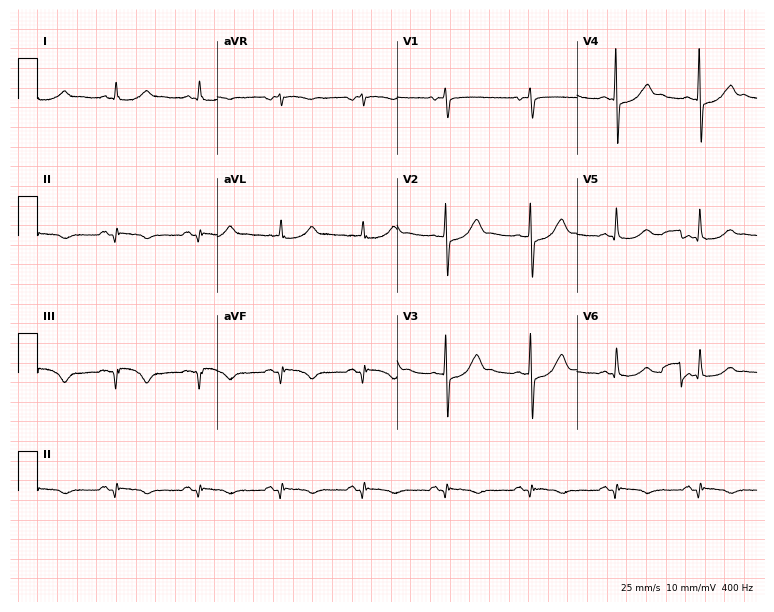
Standard 12-lead ECG recorded from a 58-year-old woman. None of these six findings is recorded: first-degree AV block, right bundle branch block, left bundle branch block, sinus bradycardia, atrial fibrillation, sinus tachycardia.